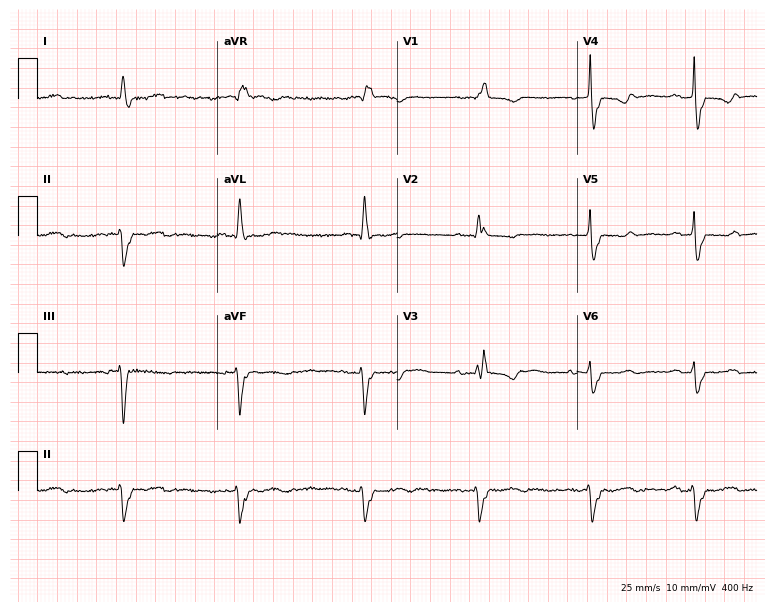
ECG — a 70-year-old female patient. Findings include right bundle branch block (RBBB).